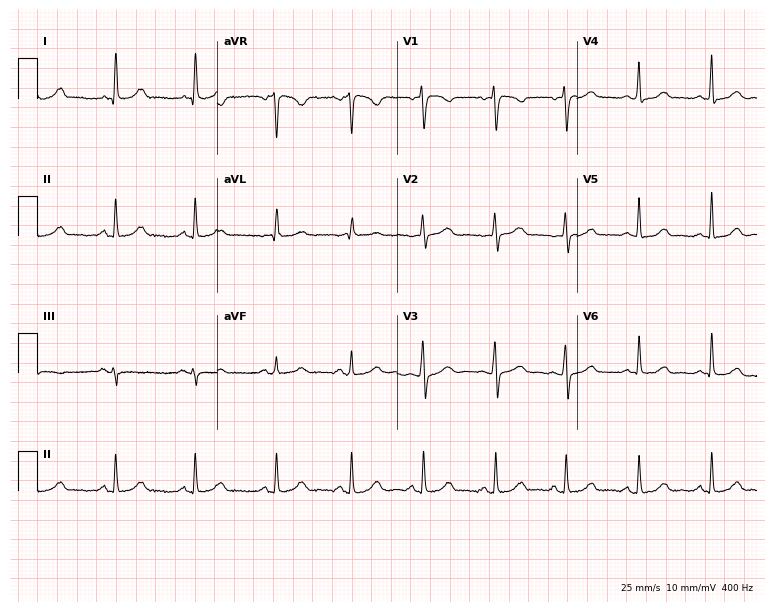
12-lead ECG (7.3-second recording at 400 Hz) from a female, 45 years old. Labelled as a normal ECG.